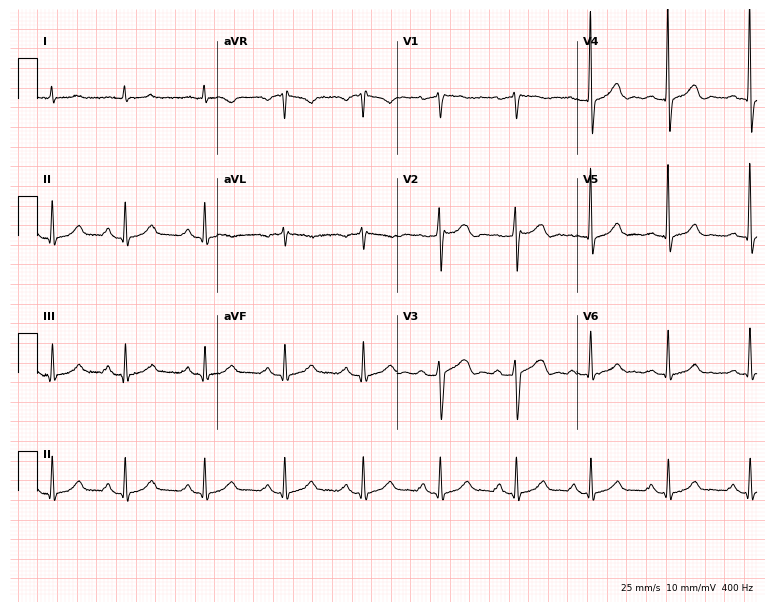
12-lead ECG (7.3-second recording at 400 Hz) from a 64-year-old male. Labelled as a normal ECG.